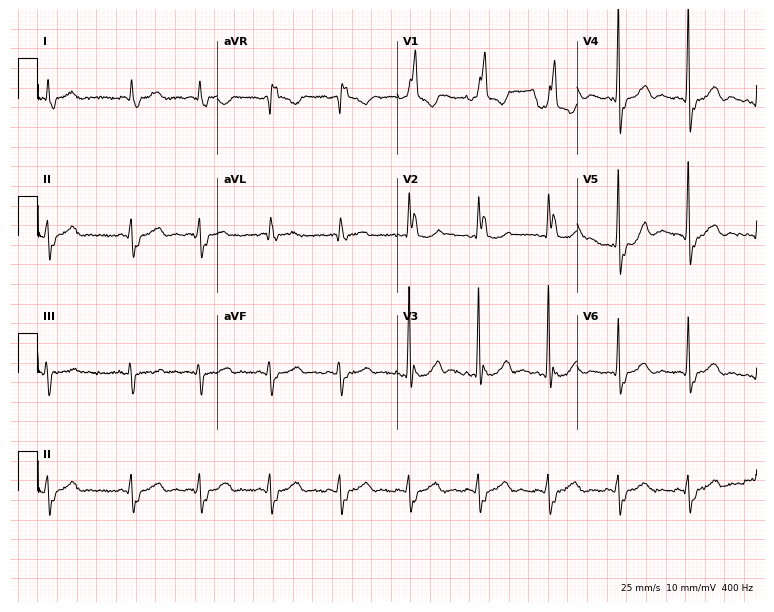
12-lead ECG from a male patient, 84 years old. Shows right bundle branch block.